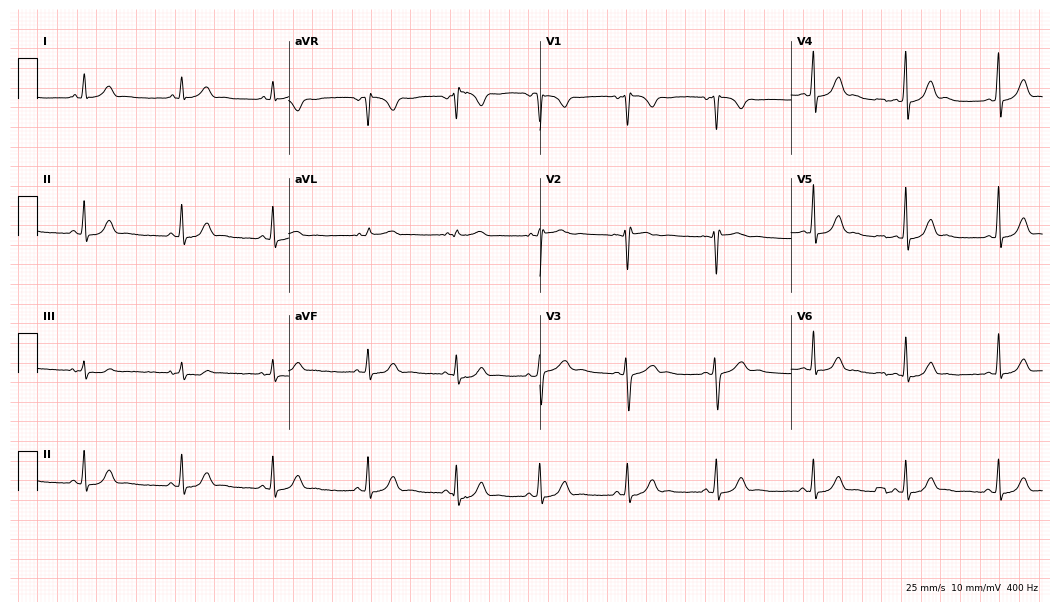
12-lead ECG (10.2-second recording at 400 Hz) from a 36-year-old woman. Screened for six findings — first-degree AV block, right bundle branch block, left bundle branch block, sinus bradycardia, atrial fibrillation, sinus tachycardia — none is recorded. Only these six findings were labelled.